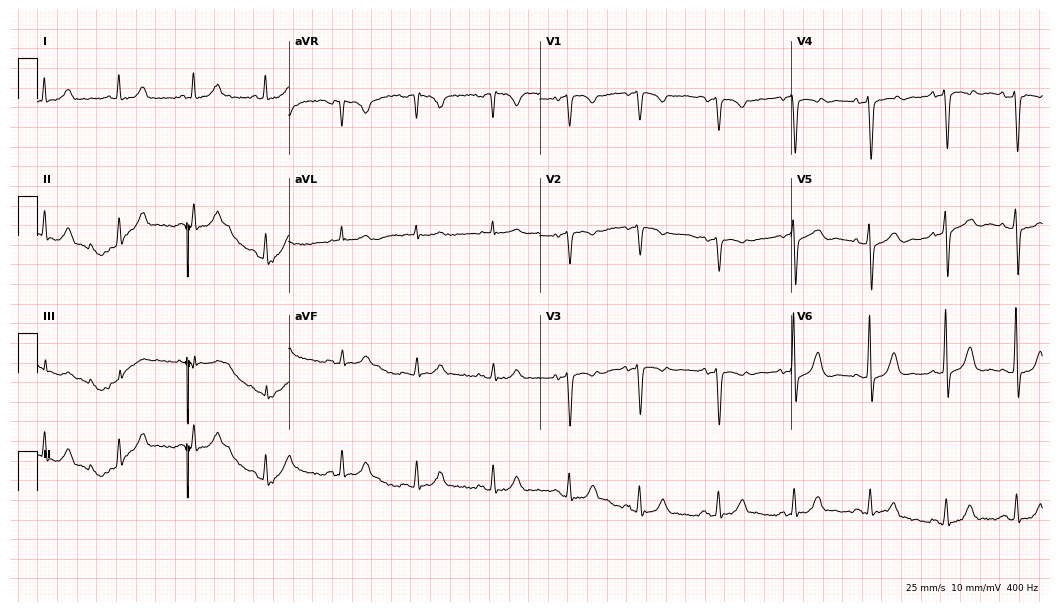
ECG — a woman, 82 years old. Labelled as a normal ECG.